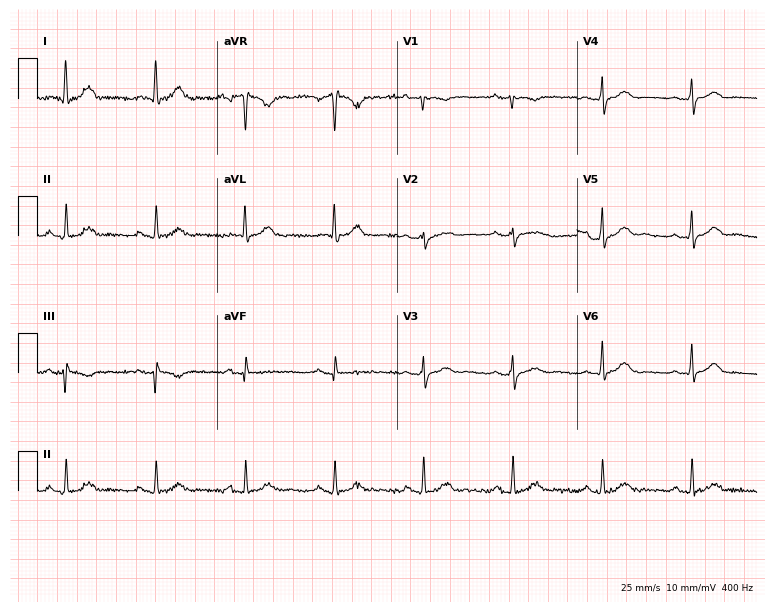
Standard 12-lead ECG recorded from a female patient, 72 years old. Read as a normal ECG.